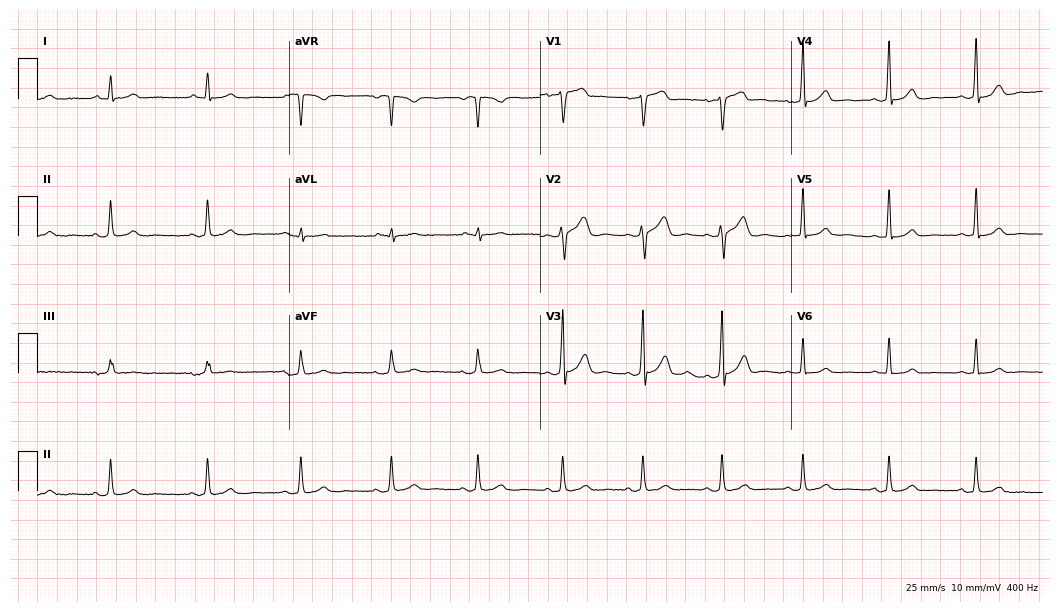
Electrocardiogram, a 25-year-old male patient. Overall reading on record: normal ECG.